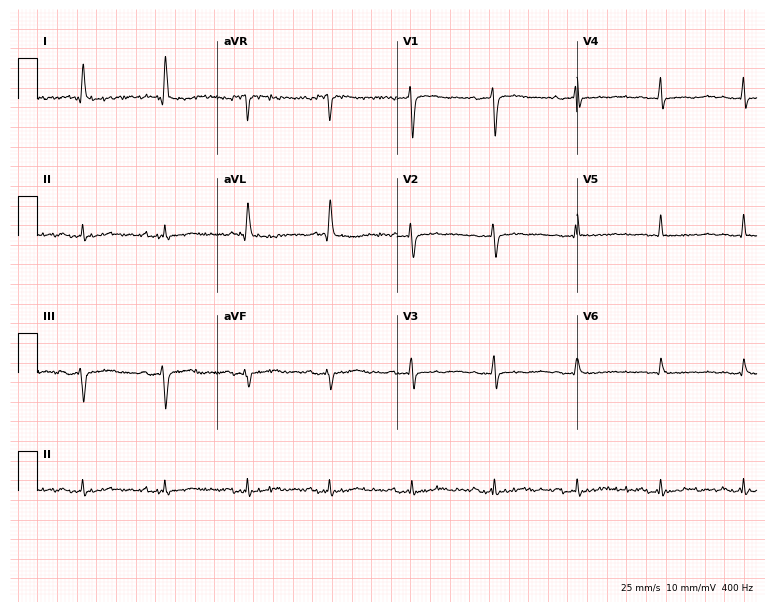
ECG — an 80-year-old female. Screened for six findings — first-degree AV block, right bundle branch block, left bundle branch block, sinus bradycardia, atrial fibrillation, sinus tachycardia — none is recorded. Other findings, if any, are not listed.